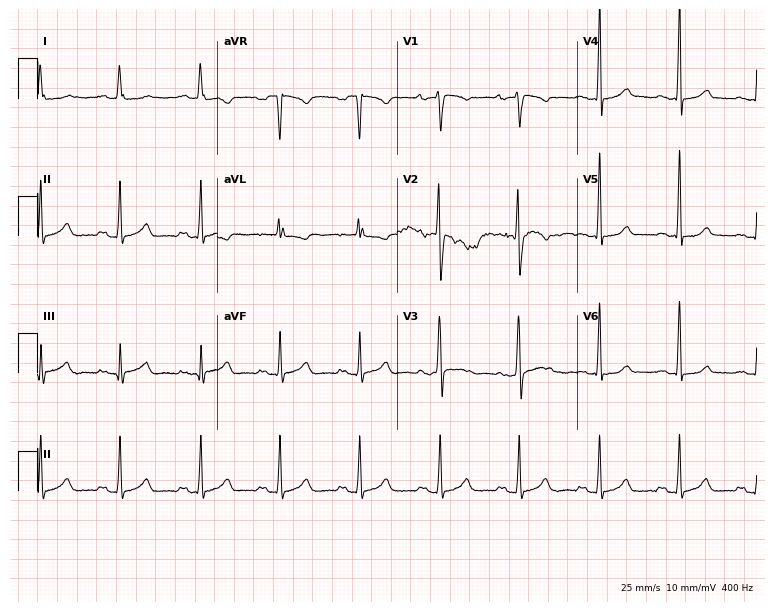
12-lead ECG (7.3-second recording at 400 Hz) from a 21-year-old woman. Labelled as a normal ECG.